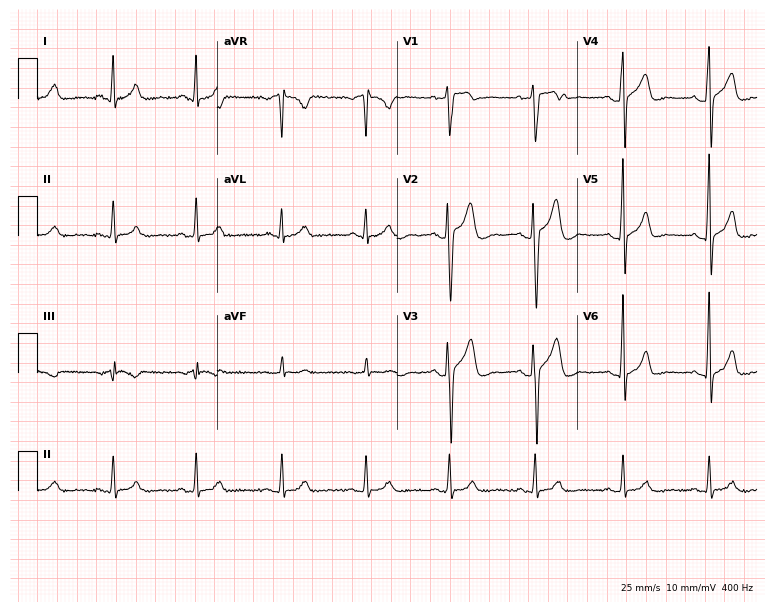
Resting 12-lead electrocardiogram (7.3-second recording at 400 Hz). Patient: a 32-year-old man. Read as a normal ECG.